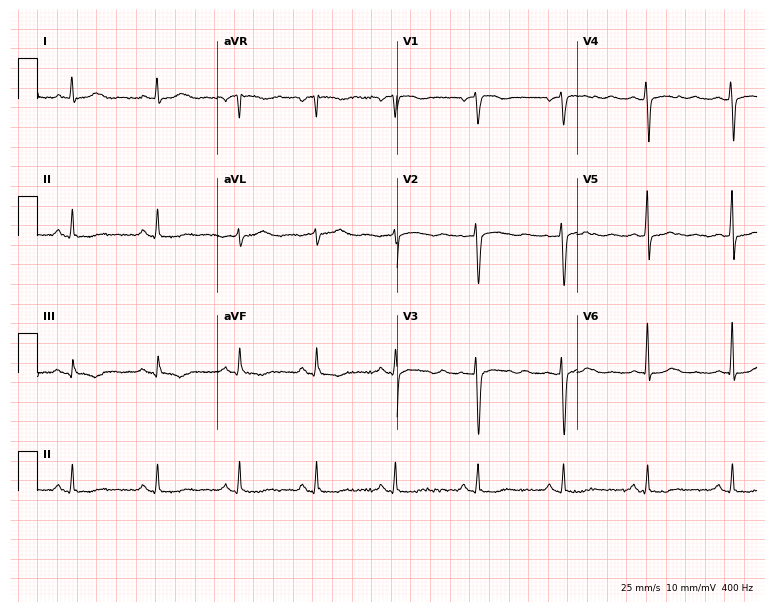
Resting 12-lead electrocardiogram. Patient: a 45-year-old female. None of these six findings is recorded: first-degree AV block, right bundle branch block, left bundle branch block, sinus bradycardia, atrial fibrillation, sinus tachycardia.